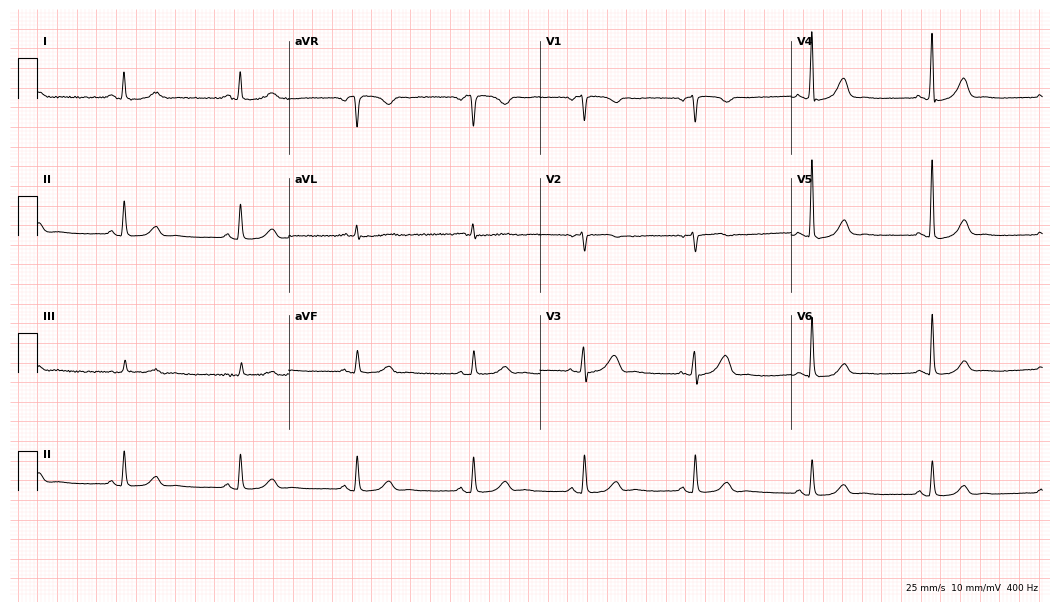
Standard 12-lead ECG recorded from a 59-year-old female patient. Read as a normal ECG.